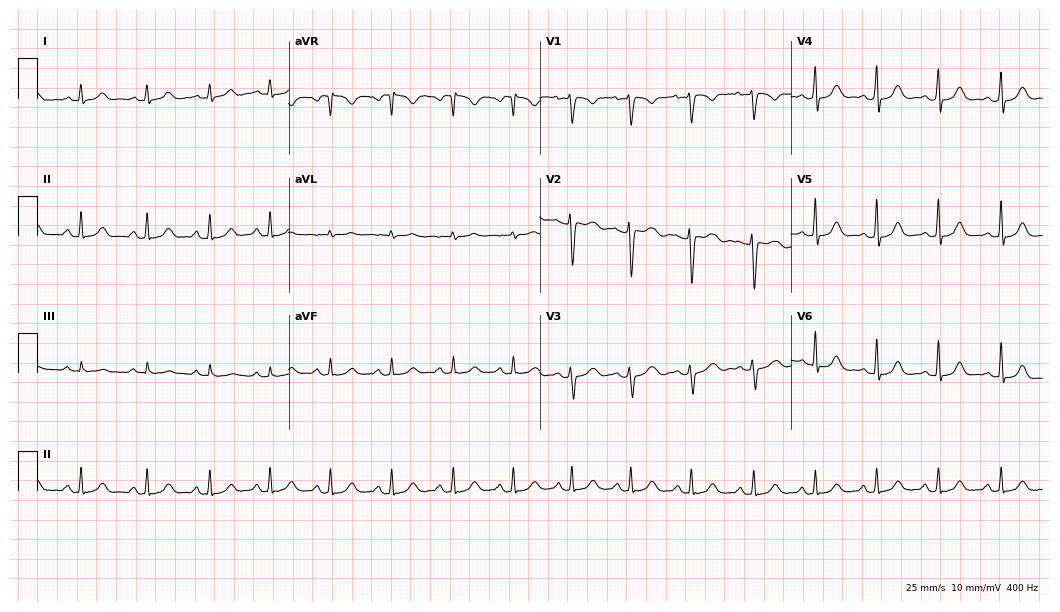
ECG (10.2-second recording at 400 Hz) — a 26-year-old woman. Labelled as a normal ECG.